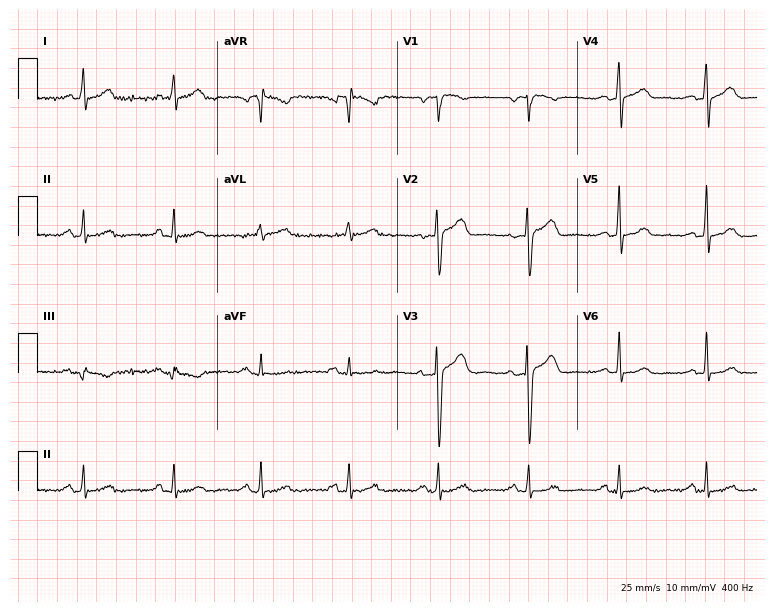
ECG (7.3-second recording at 400 Hz) — a 51-year-old man. Labelled as a normal ECG.